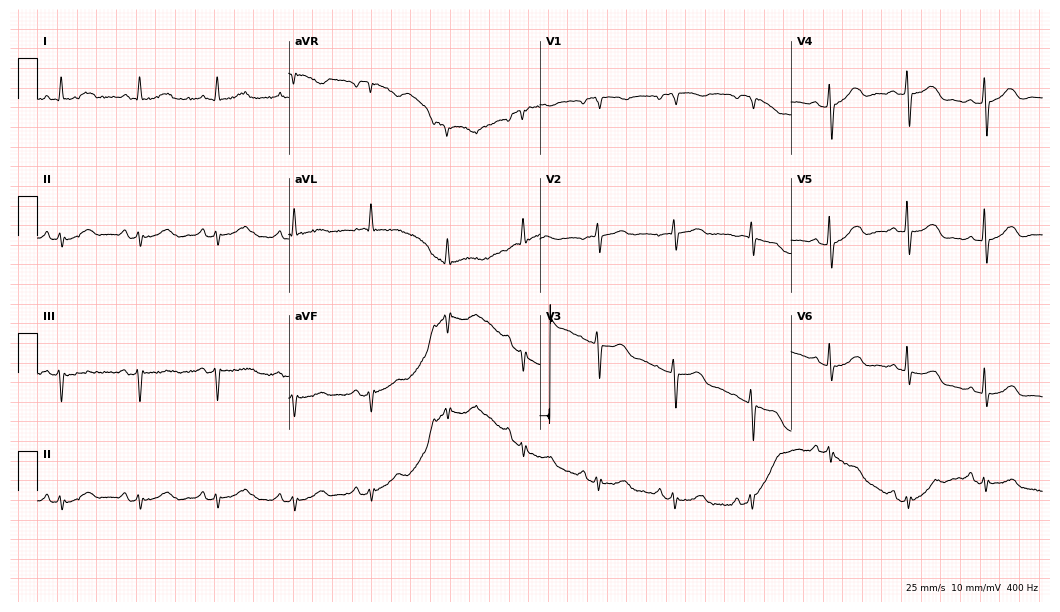
12-lead ECG from a female, 84 years old (10.2-second recording at 400 Hz). No first-degree AV block, right bundle branch block (RBBB), left bundle branch block (LBBB), sinus bradycardia, atrial fibrillation (AF) or sinus tachycardia recorded for this tracing.